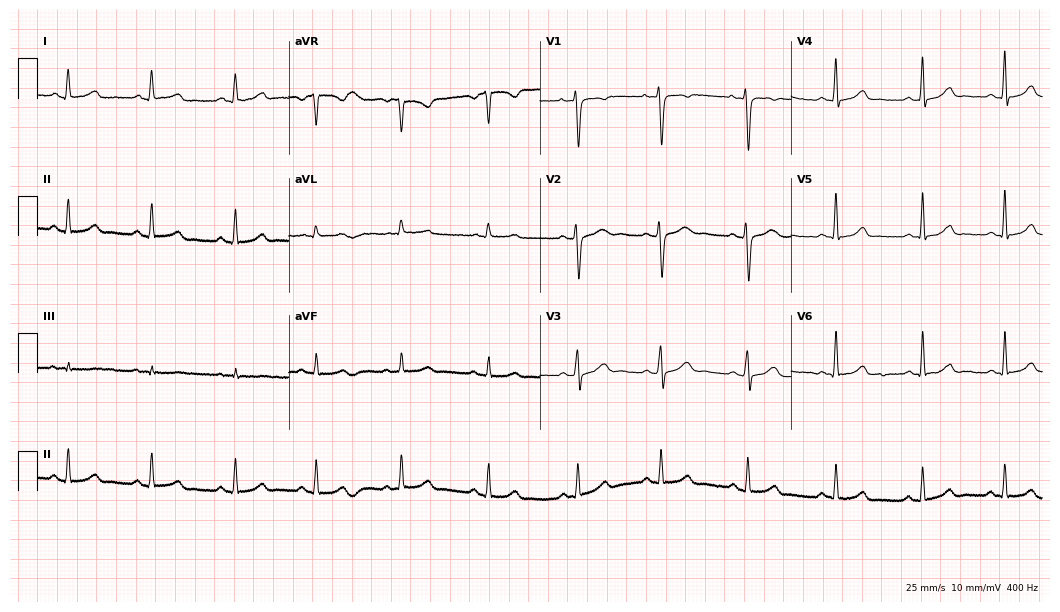
12-lead ECG from a 20-year-old female (10.2-second recording at 400 Hz). Recorded interpretation: within normal limits.